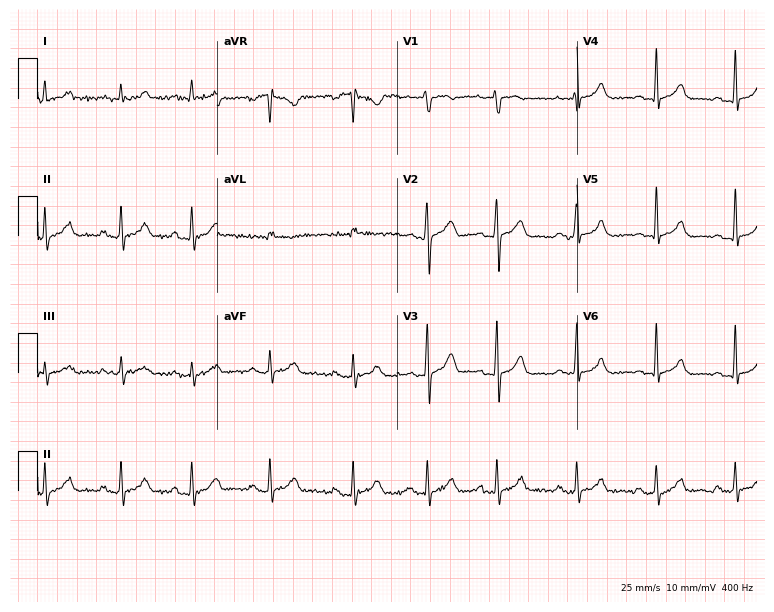
Standard 12-lead ECG recorded from a 25-year-old female patient (7.3-second recording at 400 Hz). Read as a normal ECG.